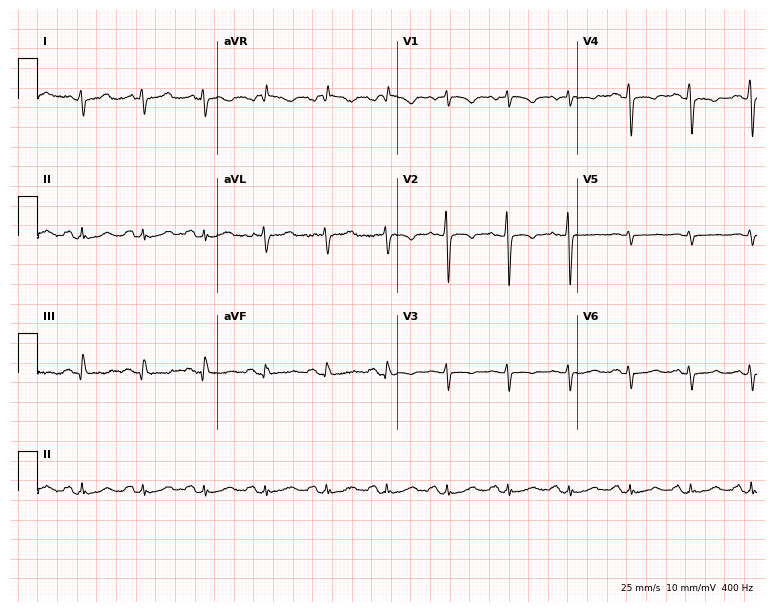
Electrocardiogram (7.3-second recording at 400 Hz), a female patient, 63 years old. Of the six screened findings (first-degree AV block, right bundle branch block (RBBB), left bundle branch block (LBBB), sinus bradycardia, atrial fibrillation (AF), sinus tachycardia), none is recorded.